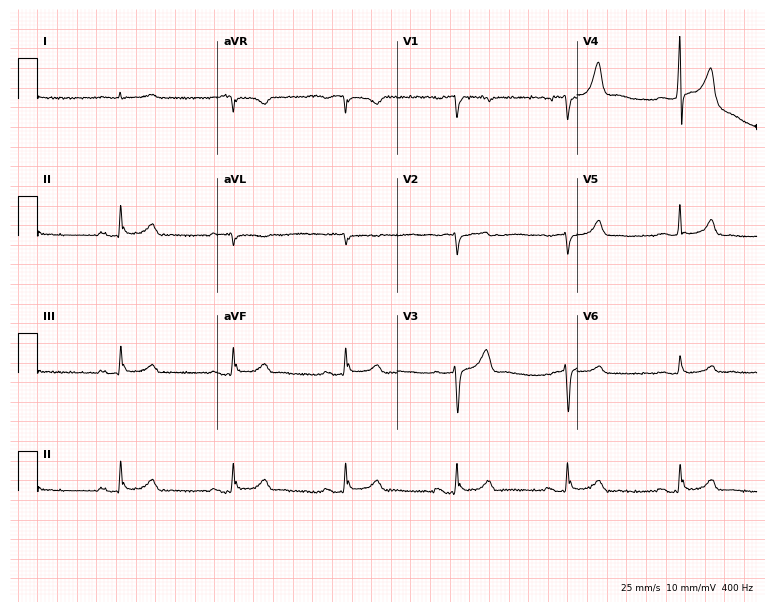
12-lead ECG from a male patient, 72 years old (7.3-second recording at 400 Hz). Shows first-degree AV block.